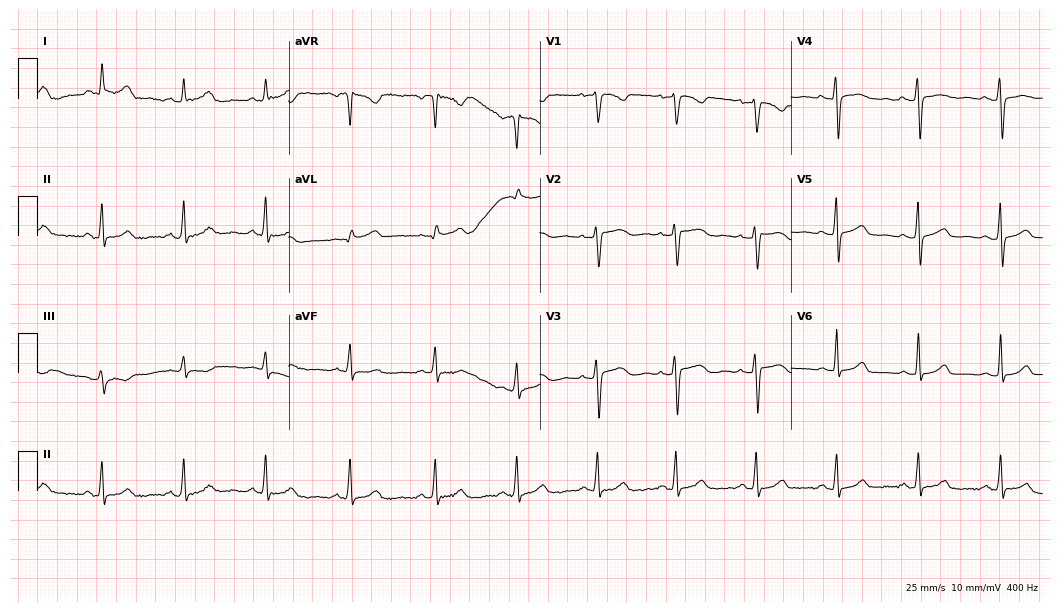
Electrocardiogram, a female patient, 41 years old. Overall reading on record: normal ECG.